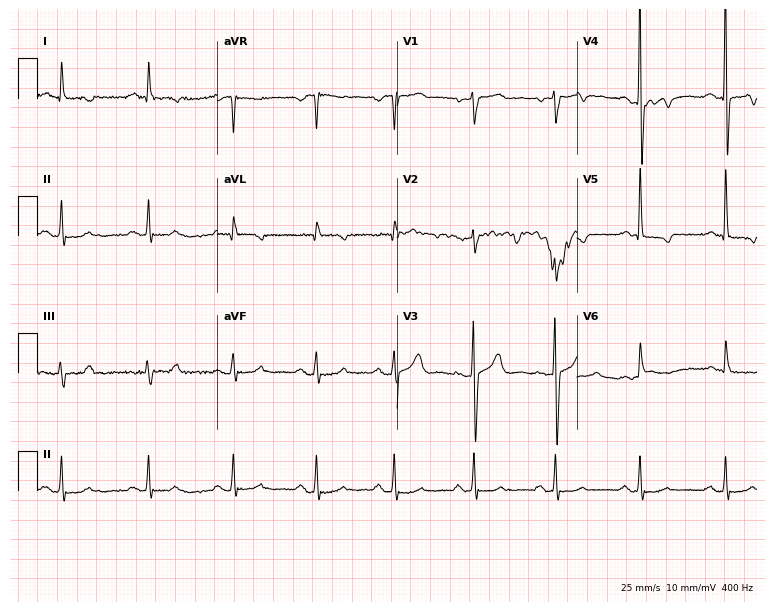
Standard 12-lead ECG recorded from a 58-year-old male (7.3-second recording at 400 Hz). None of these six findings is recorded: first-degree AV block, right bundle branch block, left bundle branch block, sinus bradycardia, atrial fibrillation, sinus tachycardia.